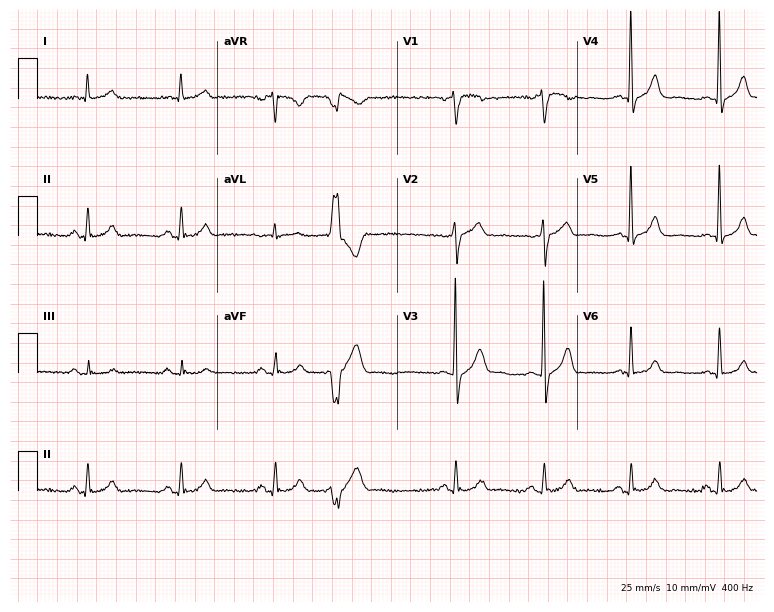
Standard 12-lead ECG recorded from a man, 53 years old (7.3-second recording at 400 Hz). None of these six findings is recorded: first-degree AV block, right bundle branch block, left bundle branch block, sinus bradycardia, atrial fibrillation, sinus tachycardia.